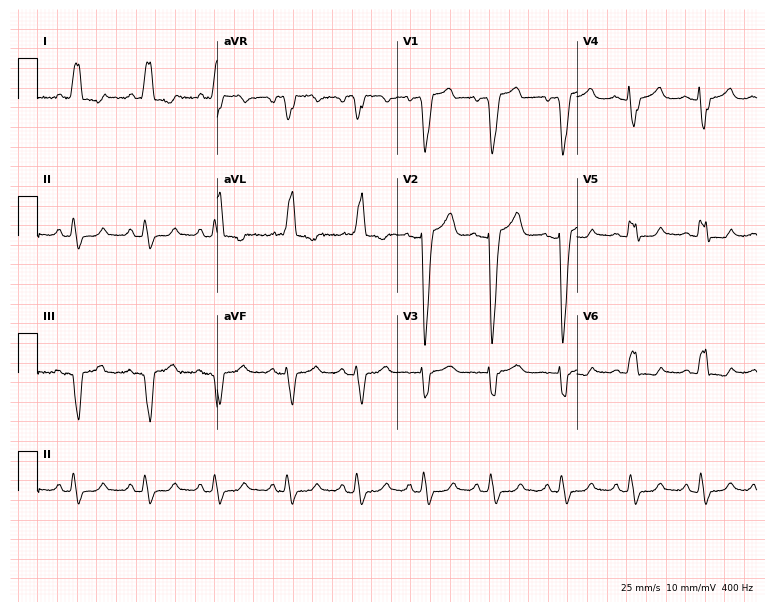
Electrocardiogram (7.3-second recording at 400 Hz), a 65-year-old female. Interpretation includes left bundle branch block (LBBB).